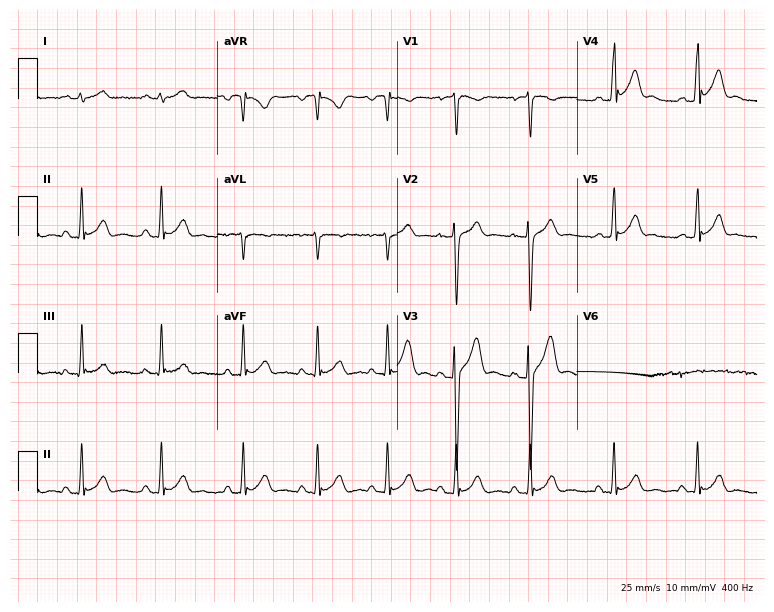
Electrocardiogram (7.3-second recording at 400 Hz), a male patient, 24 years old. Overall reading on record: normal ECG.